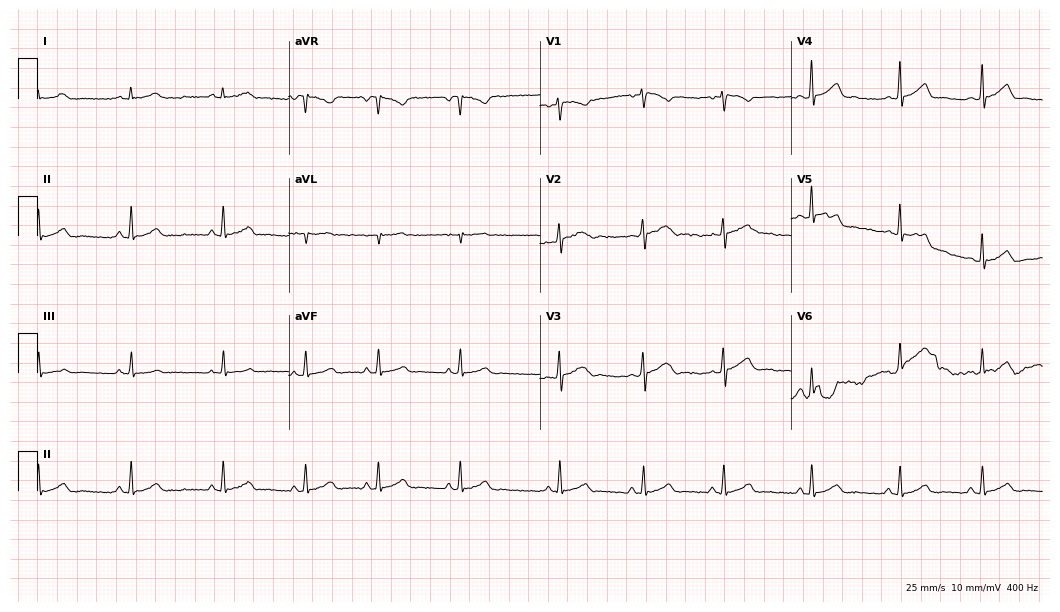
Resting 12-lead electrocardiogram. Patient: a female, 21 years old. Read as a normal ECG.